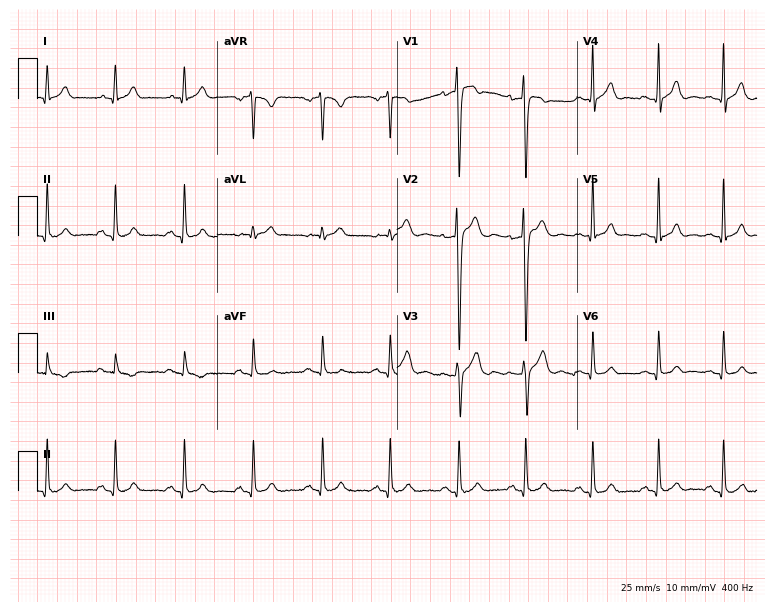
12-lead ECG (7.3-second recording at 400 Hz) from a male patient, 21 years old. Labelled as a normal ECG.